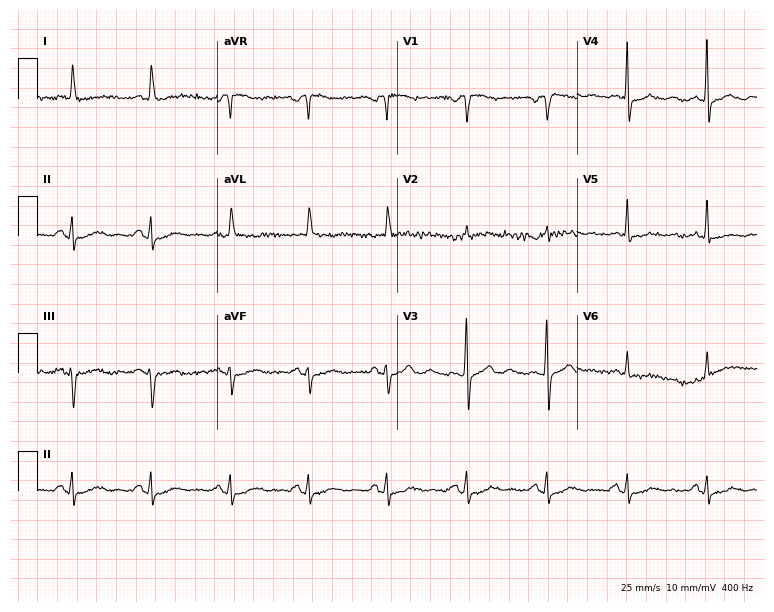
Resting 12-lead electrocardiogram. Patient: an 81-year-old female. Read as a normal ECG.